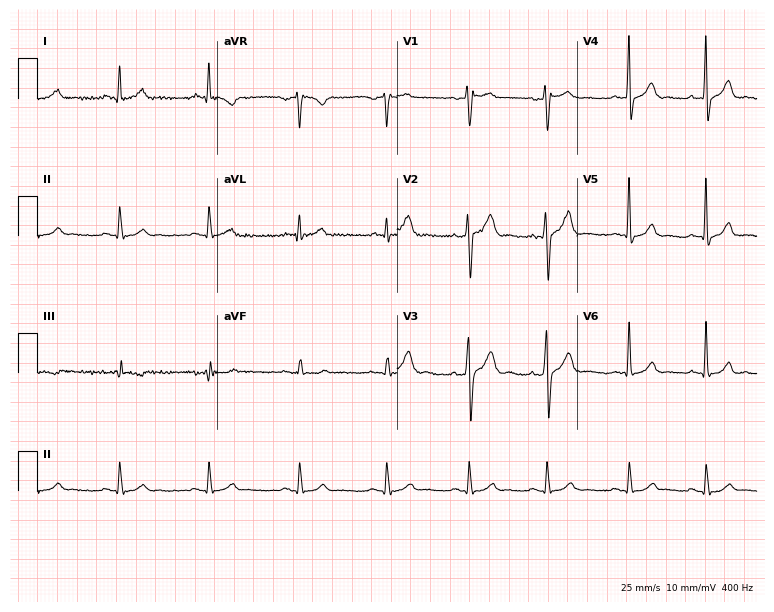
Electrocardiogram (7.3-second recording at 400 Hz), a 43-year-old man. Overall reading on record: normal ECG.